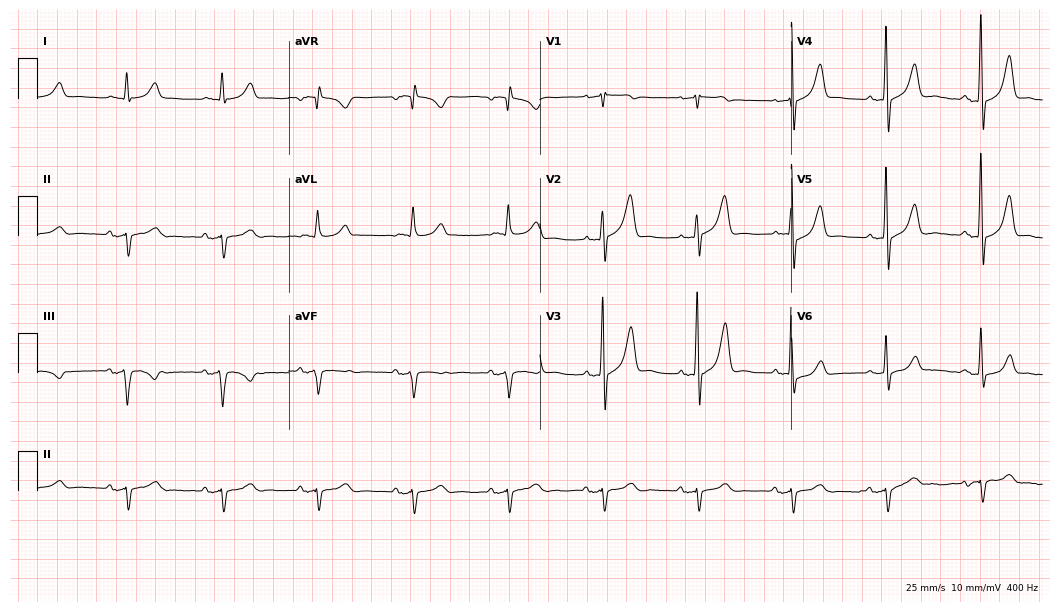
Standard 12-lead ECG recorded from a 69-year-old male (10.2-second recording at 400 Hz). None of these six findings is recorded: first-degree AV block, right bundle branch block, left bundle branch block, sinus bradycardia, atrial fibrillation, sinus tachycardia. Findings outside these six are not listed.